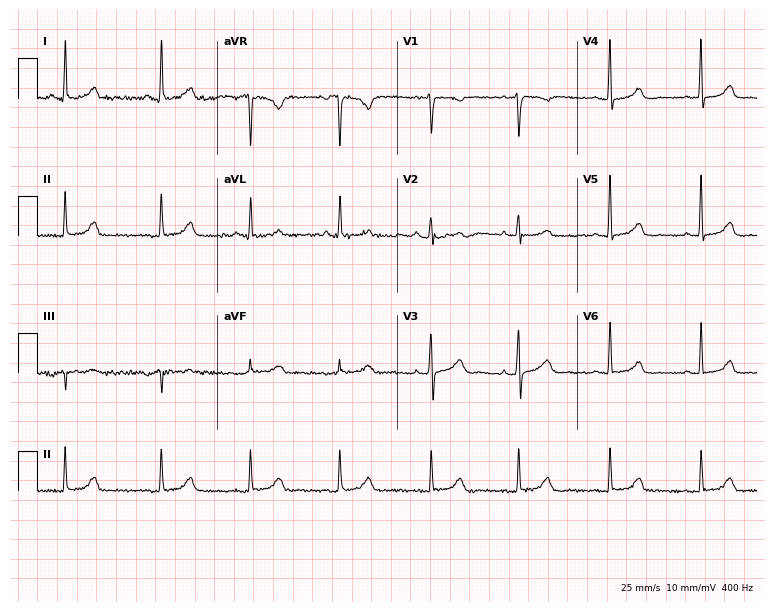
Standard 12-lead ECG recorded from a woman, 45 years old. Read as a normal ECG.